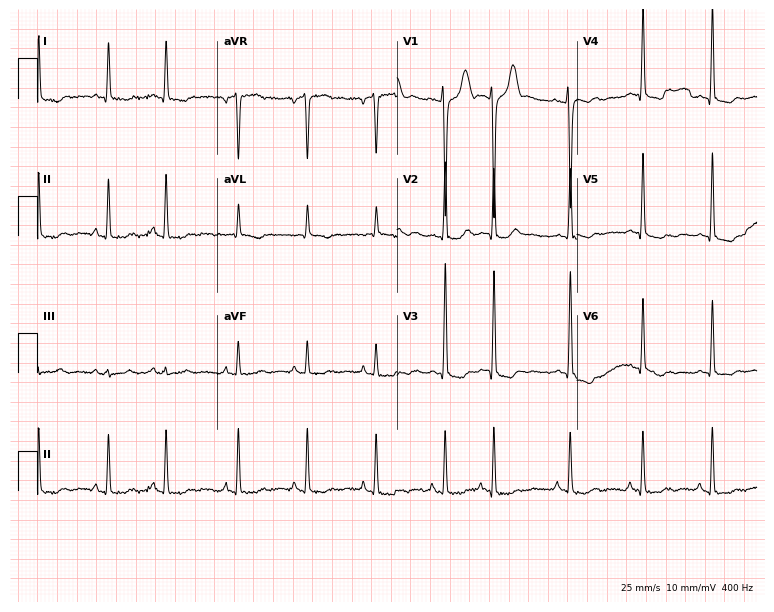
Resting 12-lead electrocardiogram. Patient: a man, 67 years old. None of these six findings is recorded: first-degree AV block, right bundle branch block, left bundle branch block, sinus bradycardia, atrial fibrillation, sinus tachycardia. Only these six findings were labelled.